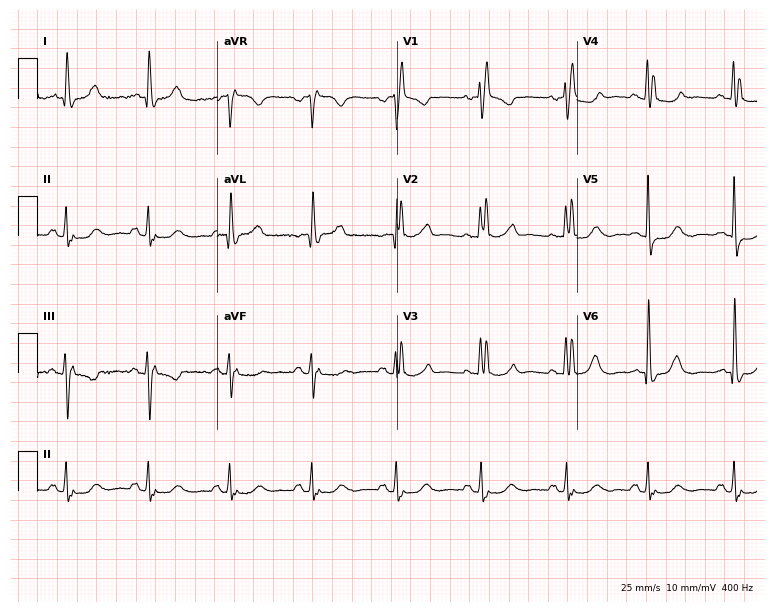
Electrocardiogram (7.3-second recording at 400 Hz), a 77-year-old female. Interpretation includes right bundle branch block (RBBB).